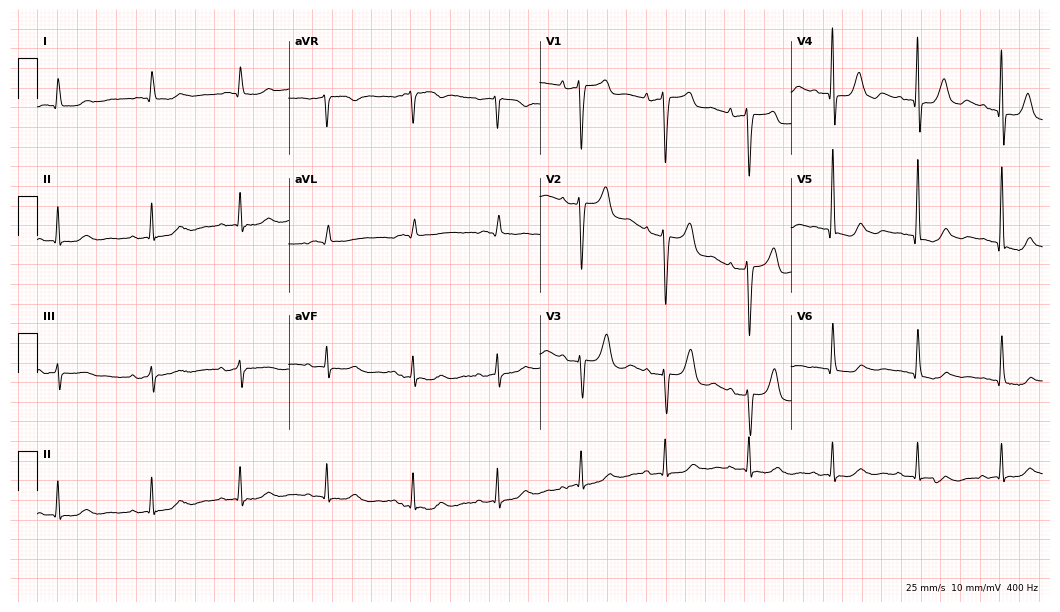
Electrocardiogram, a 77-year-old female. Of the six screened findings (first-degree AV block, right bundle branch block, left bundle branch block, sinus bradycardia, atrial fibrillation, sinus tachycardia), none is recorded.